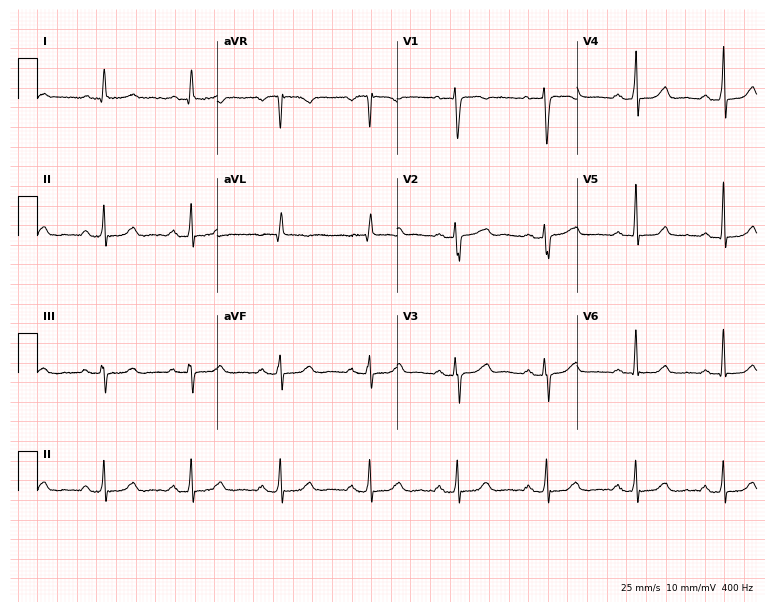
12-lead ECG from a 52-year-old female patient (7.3-second recording at 400 Hz). No first-degree AV block, right bundle branch block, left bundle branch block, sinus bradycardia, atrial fibrillation or sinus tachycardia recorded for this tracing. Only these six findings were labelled.